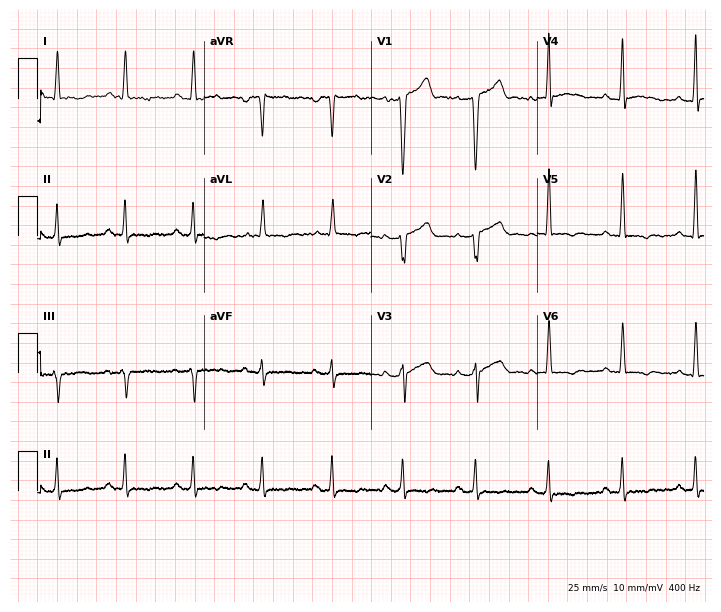
12-lead ECG from a 53-year-old male patient. No first-degree AV block, right bundle branch block, left bundle branch block, sinus bradycardia, atrial fibrillation or sinus tachycardia recorded for this tracing.